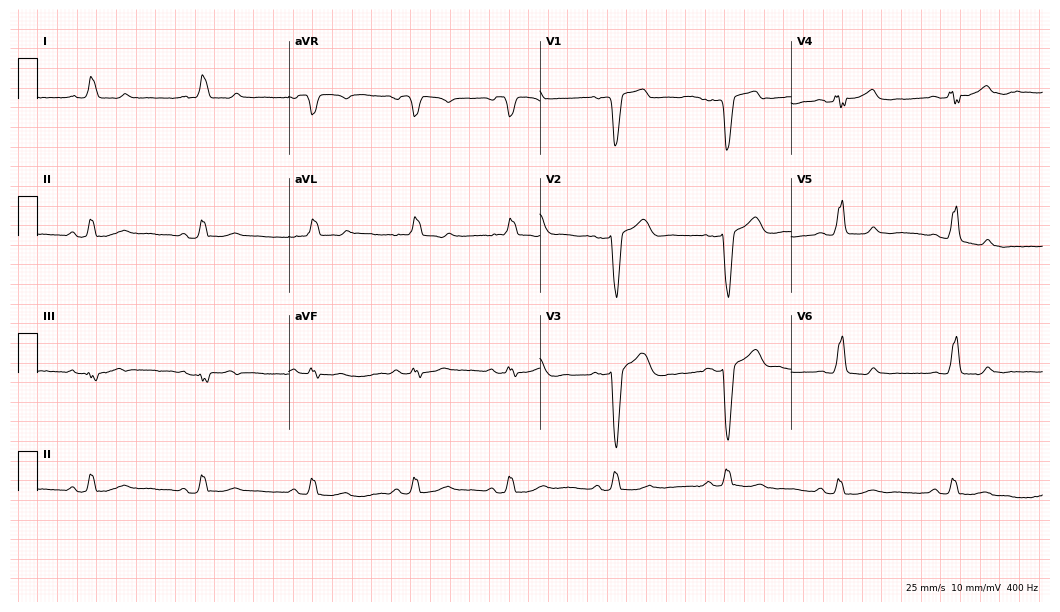
12-lead ECG from a man, 68 years old (10.2-second recording at 400 Hz). Shows left bundle branch block (LBBB).